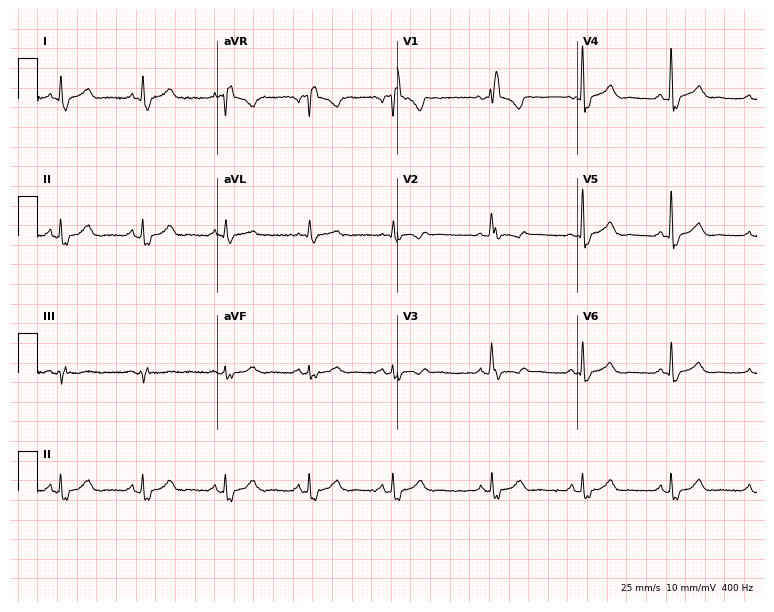
Standard 12-lead ECG recorded from a 55-year-old female patient (7.3-second recording at 400 Hz). The tracing shows right bundle branch block (RBBB).